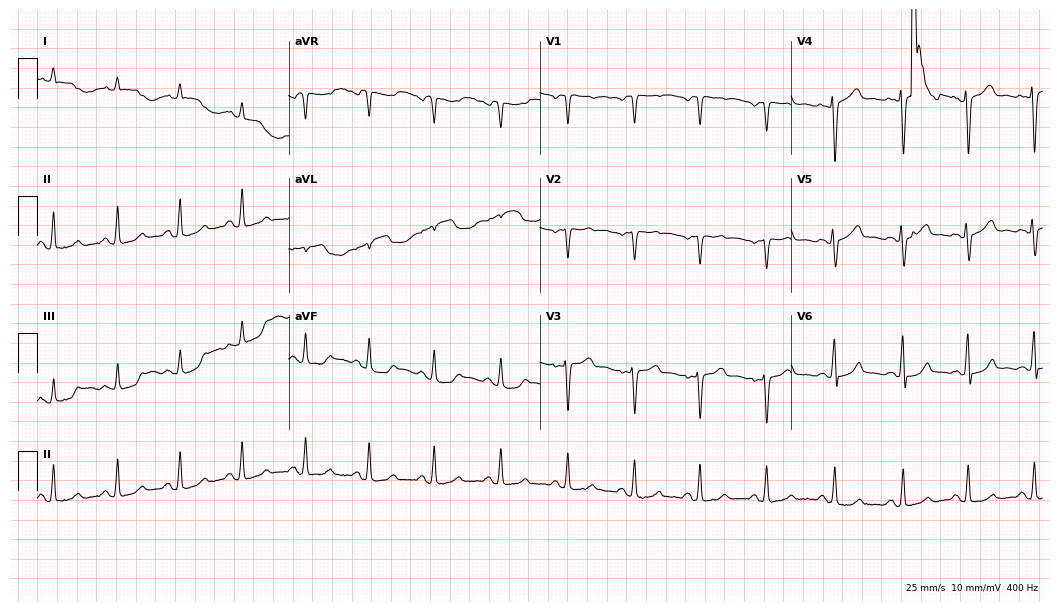
ECG — a 56-year-old woman. Screened for six findings — first-degree AV block, right bundle branch block, left bundle branch block, sinus bradycardia, atrial fibrillation, sinus tachycardia — none is recorded.